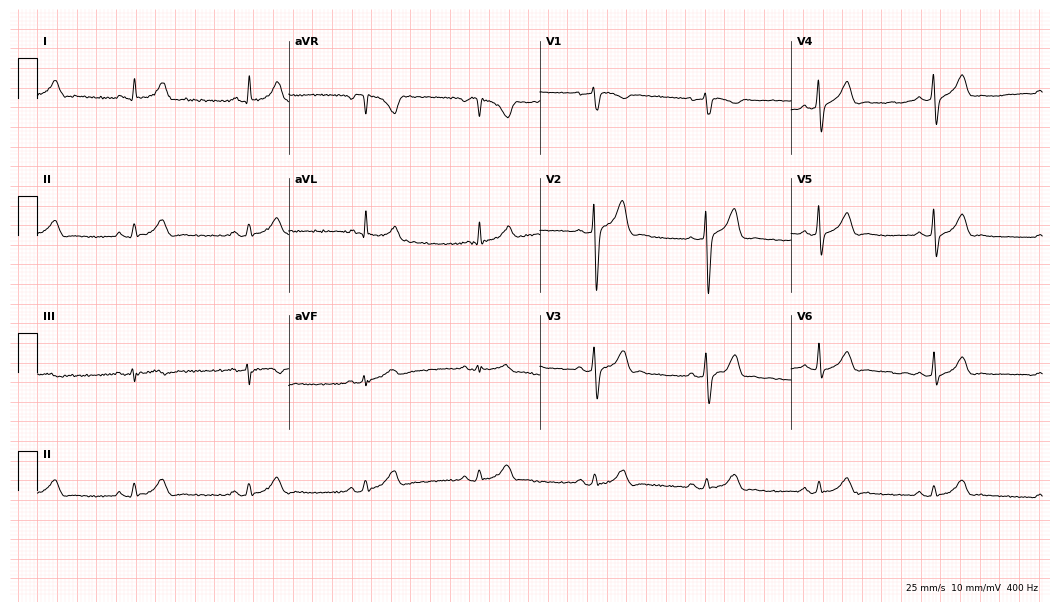
Electrocardiogram (10.2-second recording at 400 Hz), a 53-year-old male. Overall reading on record: normal ECG.